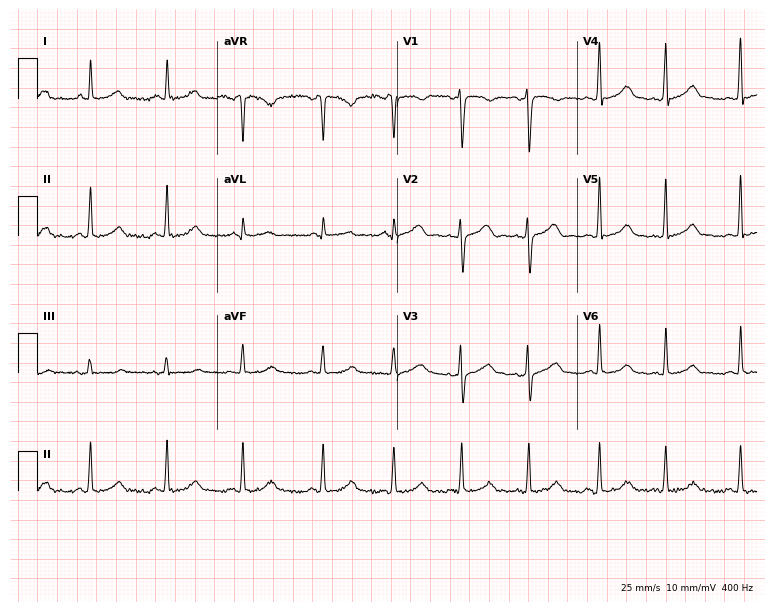
ECG (7.3-second recording at 400 Hz) — a 33-year-old female. Labelled as a normal ECG.